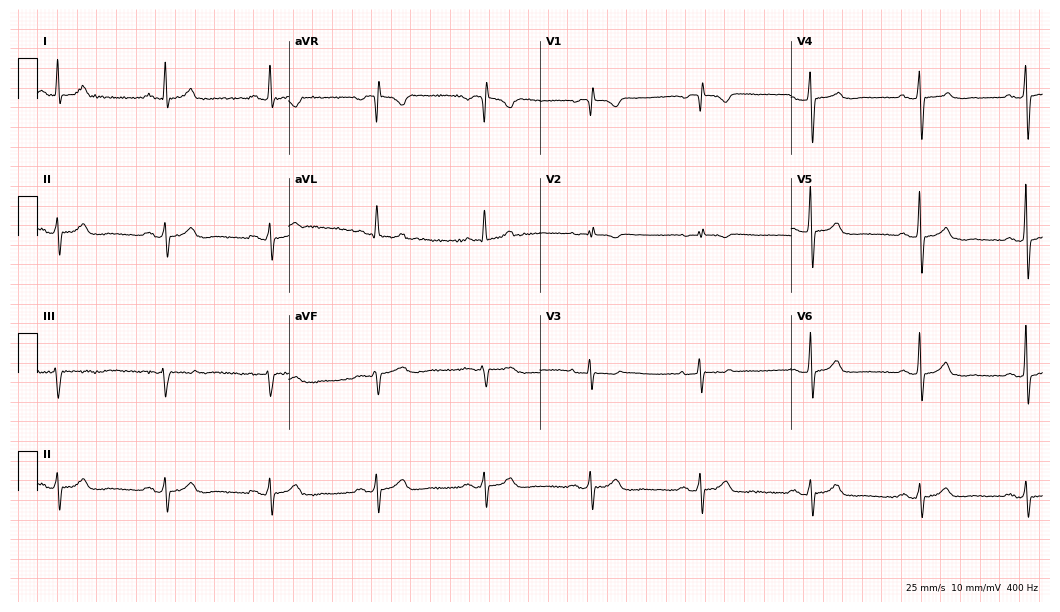
Standard 12-lead ECG recorded from a female, 61 years old. The tracing shows sinus bradycardia (a sinus rate of 50 beats per minute or less).